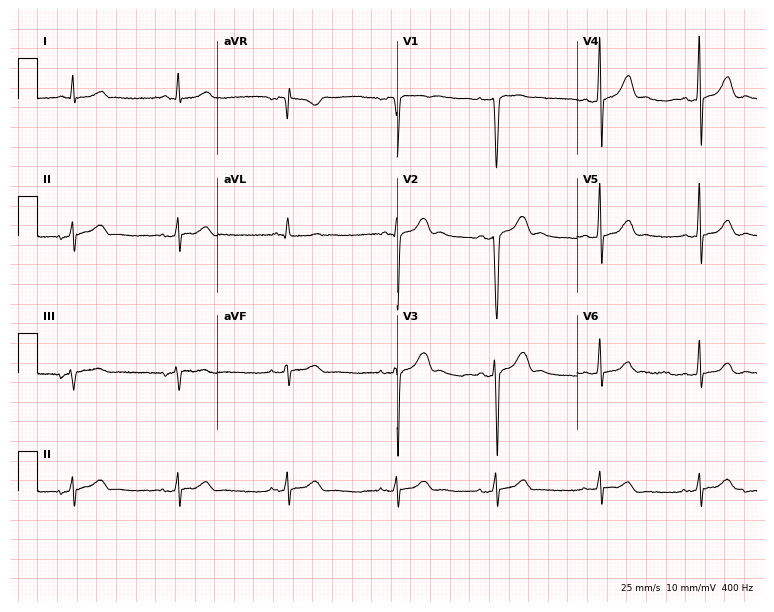
Electrocardiogram (7.3-second recording at 400 Hz), a 19-year-old male patient. Overall reading on record: normal ECG.